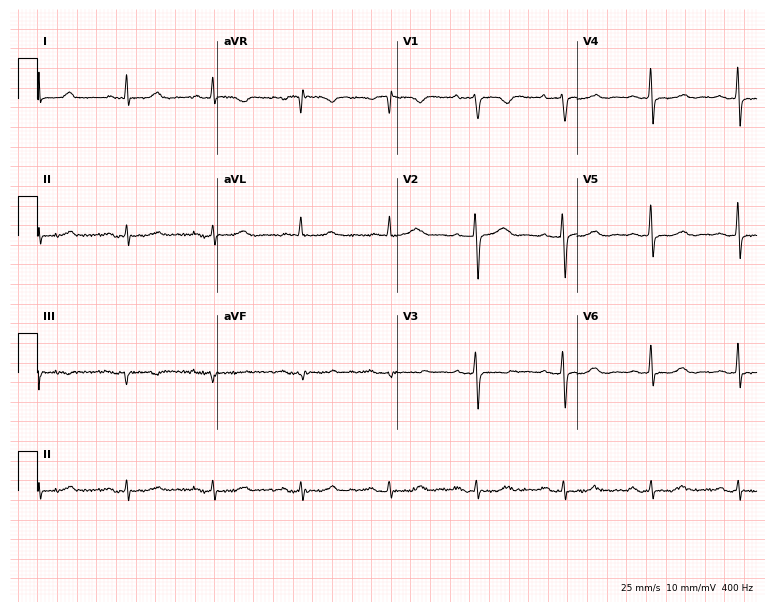
Electrocardiogram, a female, 60 years old. Of the six screened findings (first-degree AV block, right bundle branch block, left bundle branch block, sinus bradycardia, atrial fibrillation, sinus tachycardia), none is recorded.